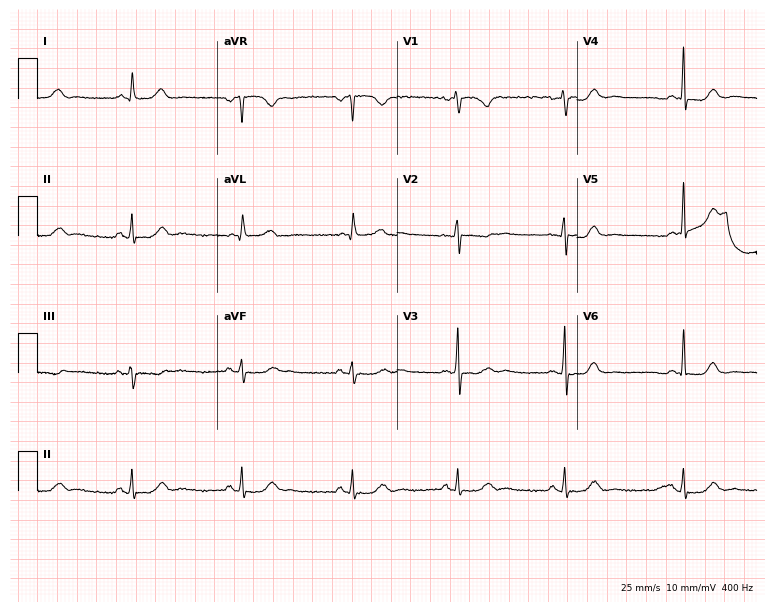
12-lead ECG from a 43-year-old female patient (7.3-second recording at 400 Hz). Recorded interpretation: within normal limits.